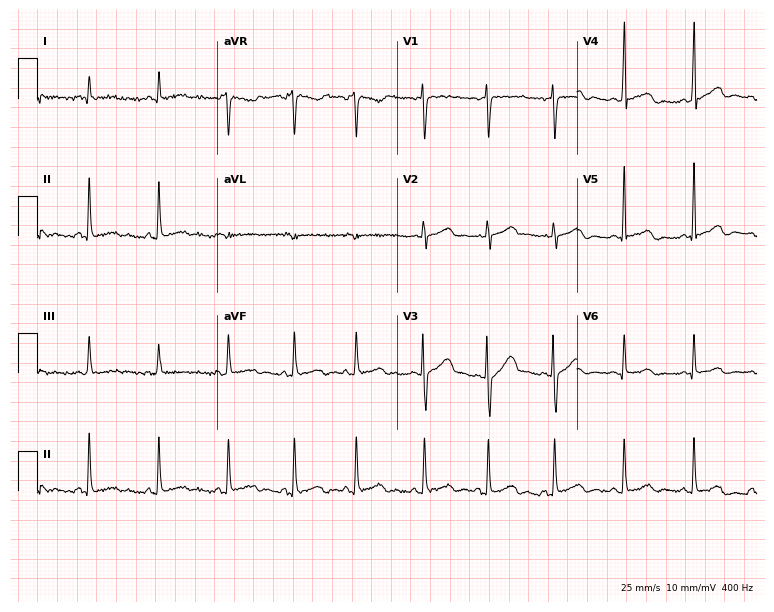
12-lead ECG from a 26-year-old female patient. Labelled as a normal ECG.